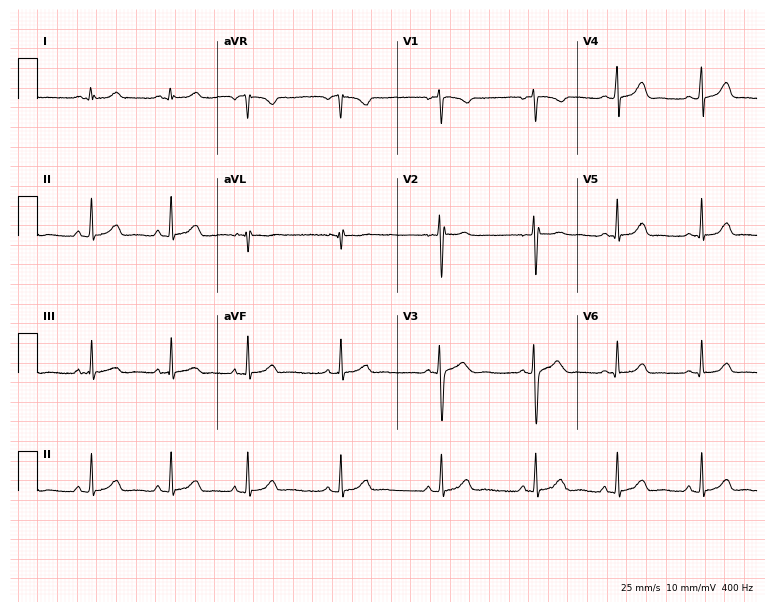
Electrocardiogram, a female patient, 20 years old. Overall reading on record: normal ECG.